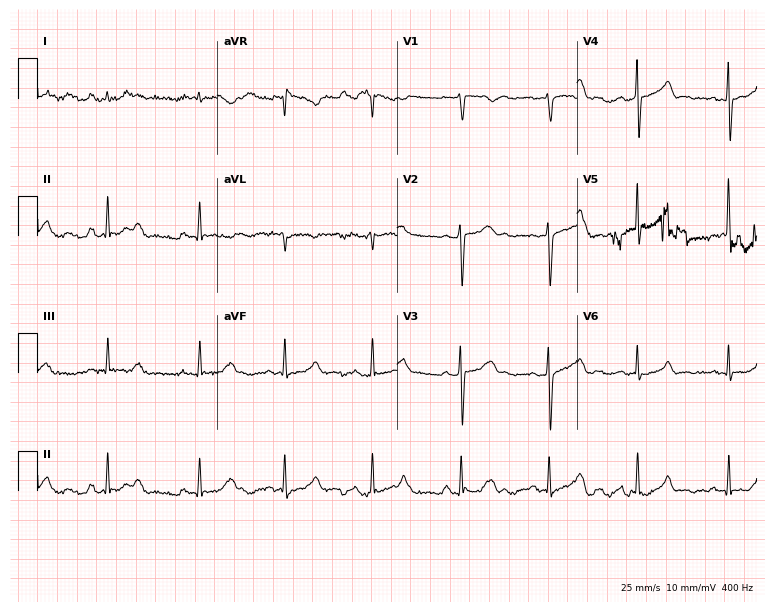
12-lead ECG from a 70-year-old male. Labelled as a normal ECG.